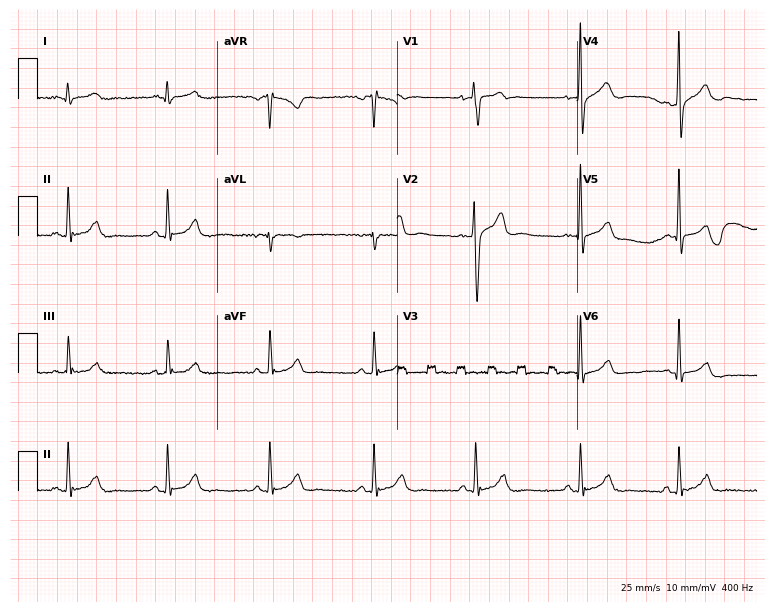
Standard 12-lead ECG recorded from a woman, 17 years old. Read as a normal ECG.